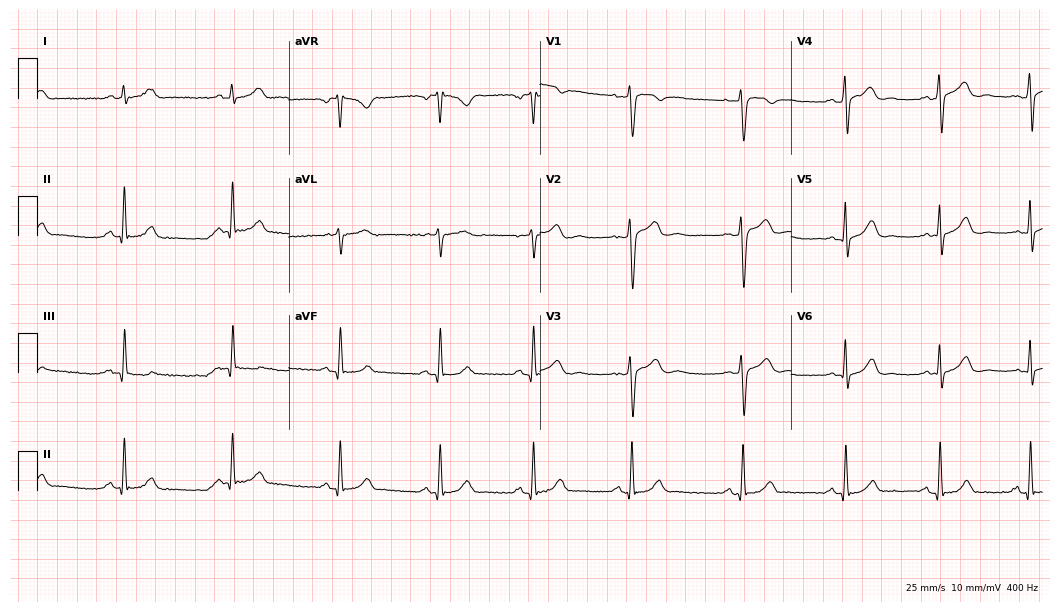
Electrocardiogram, a male, 31 years old. Overall reading on record: normal ECG.